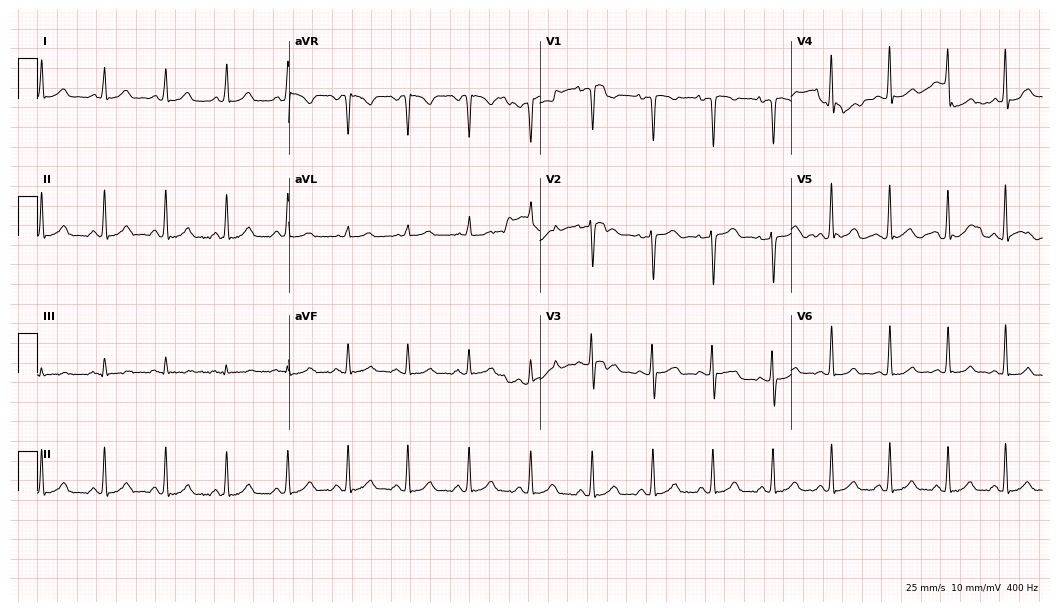
Resting 12-lead electrocardiogram. Patient: a woman, 18 years old. Read as a normal ECG.